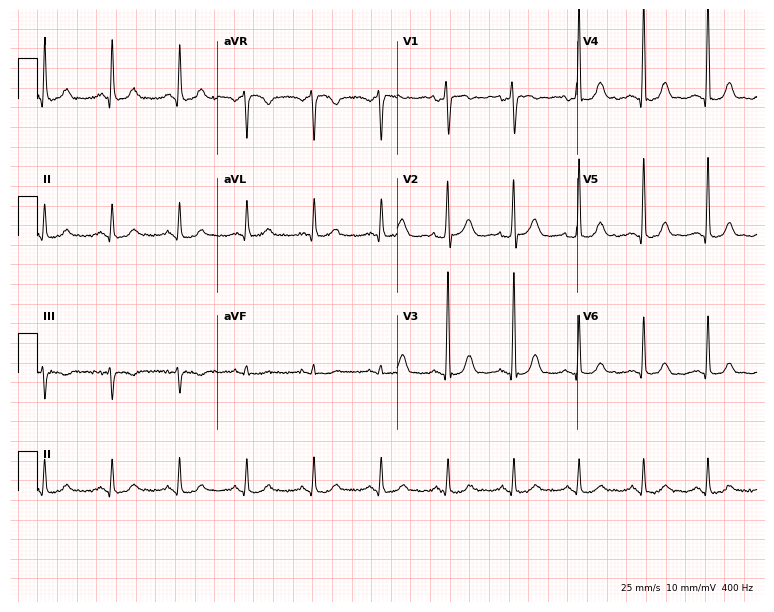
Standard 12-lead ECG recorded from a female patient, 54 years old. None of these six findings is recorded: first-degree AV block, right bundle branch block, left bundle branch block, sinus bradycardia, atrial fibrillation, sinus tachycardia.